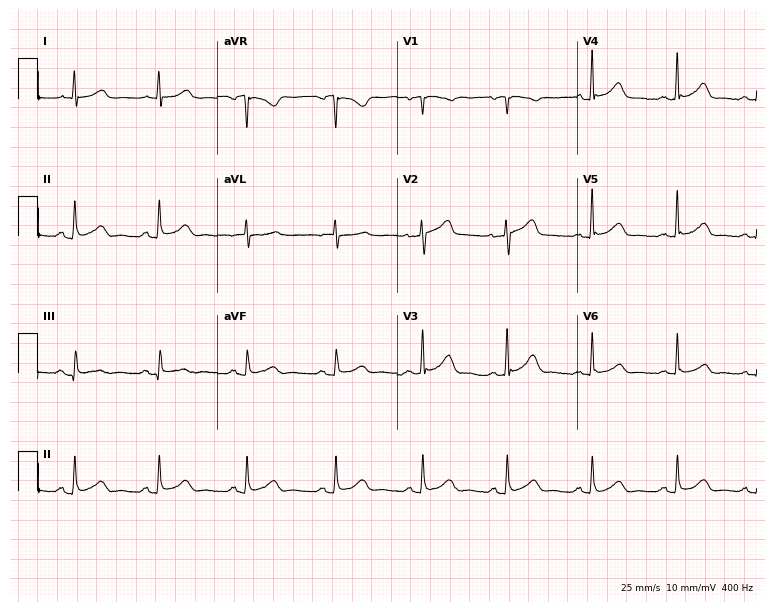
12-lead ECG from a female patient, 56 years old (7.3-second recording at 400 Hz). Recorded interpretation: within normal limits.